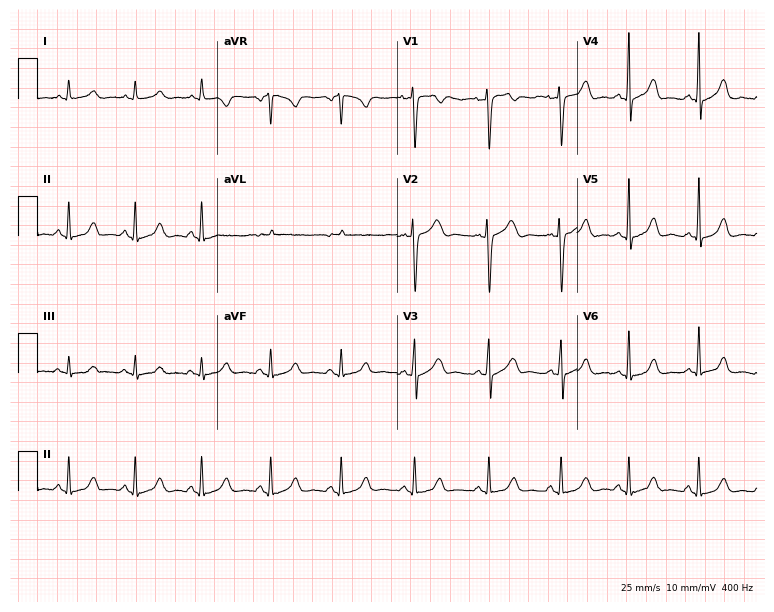
12-lead ECG from a female patient, 50 years old. Screened for six findings — first-degree AV block, right bundle branch block (RBBB), left bundle branch block (LBBB), sinus bradycardia, atrial fibrillation (AF), sinus tachycardia — none is recorded.